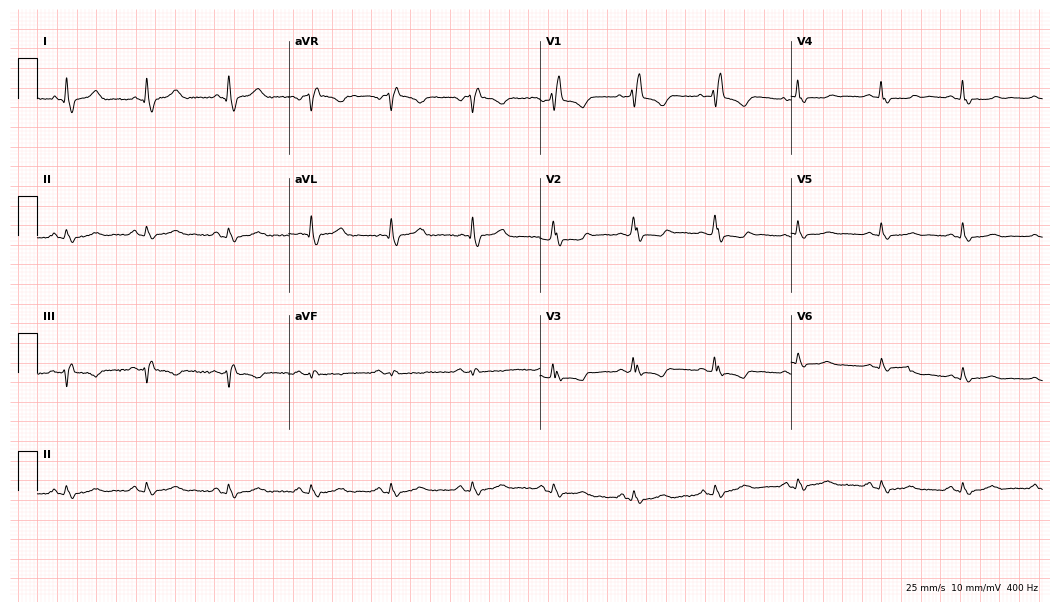
Resting 12-lead electrocardiogram (10.2-second recording at 400 Hz). Patient: a 52-year-old woman. The tracing shows right bundle branch block.